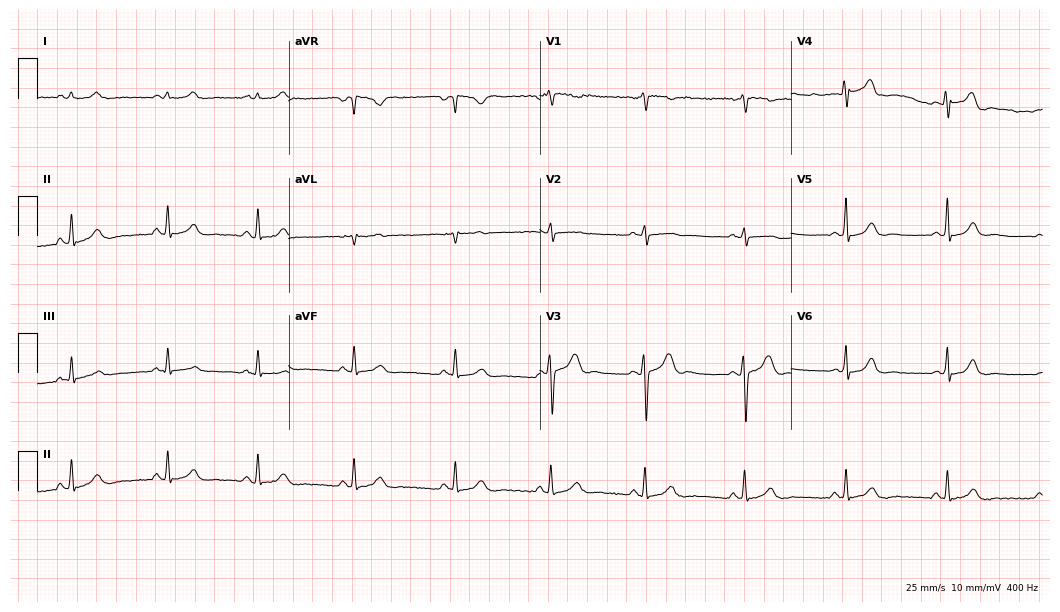
ECG (10.2-second recording at 400 Hz) — a woman, 33 years old. Screened for six findings — first-degree AV block, right bundle branch block, left bundle branch block, sinus bradycardia, atrial fibrillation, sinus tachycardia — none is recorded.